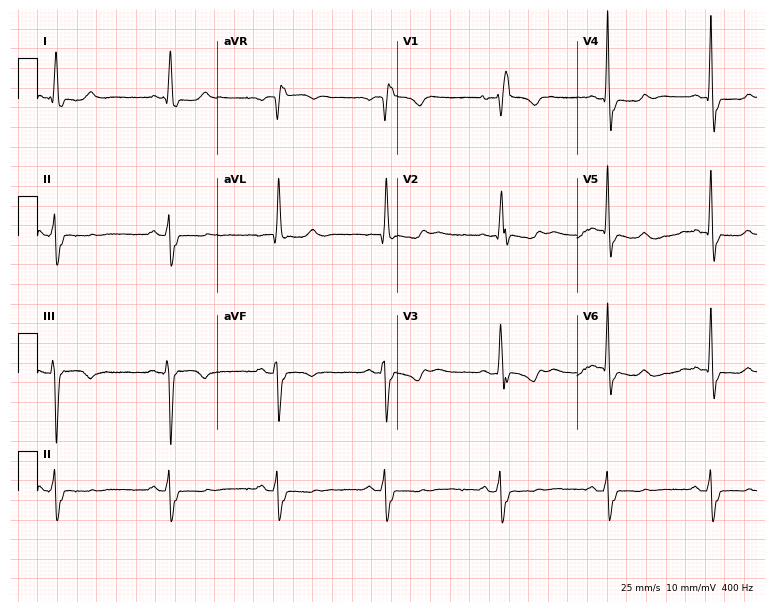
ECG — a 73-year-old female. Findings include right bundle branch block.